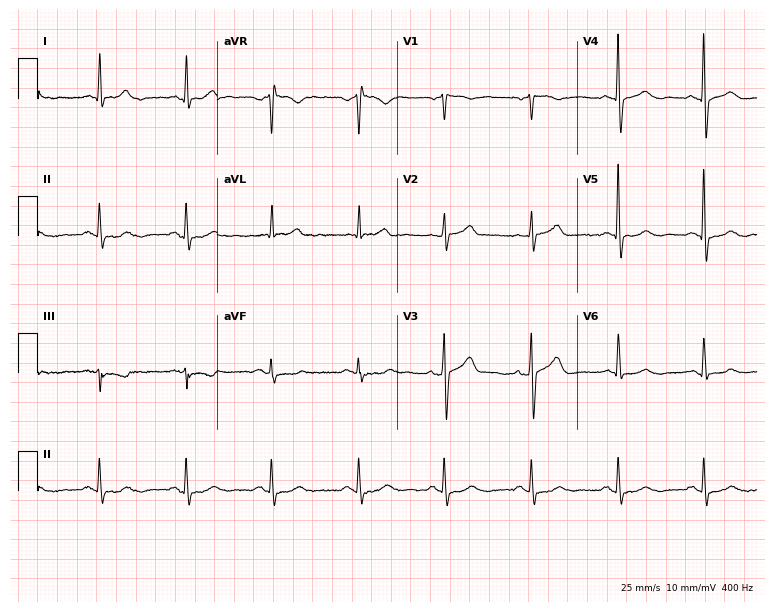
Resting 12-lead electrocardiogram (7.3-second recording at 400 Hz). Patient: a 76-year-old male. Read as a normal ECG.